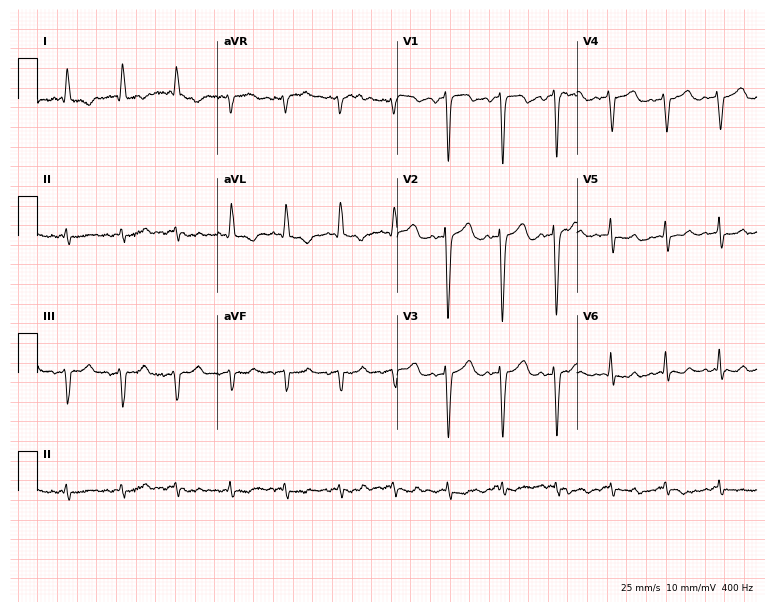
12-lead ECG from a female, 69 years old (7.3-second recording at 400 Hz). Shows sinus tachycardia (a sinus rate of 100 beats per minute or more).